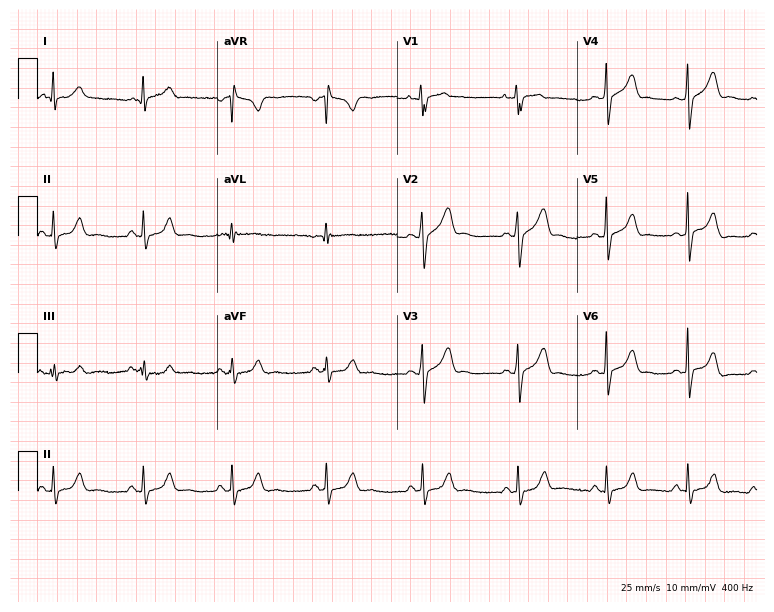
Resting 12-lead electrocardiogram. Patient: a male, 24 years old. Read as a normal ECG.